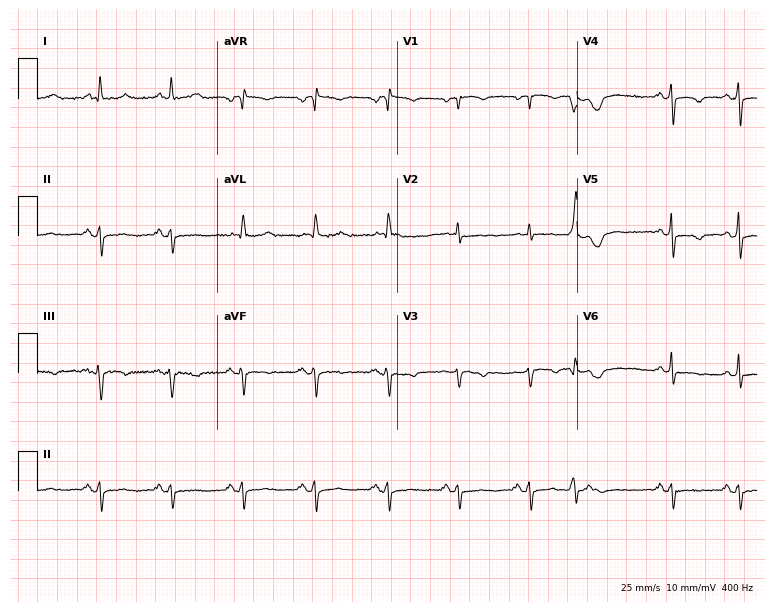
12-lead ECG from a 59-year-old female patient. Screened for six findings — first-degree AV block, right bundle branch block, left bundle branch block, sinus bradycardia, atrial fibrillation, sinus tachycardia — none is recorded. Findings outside these six are not listed.